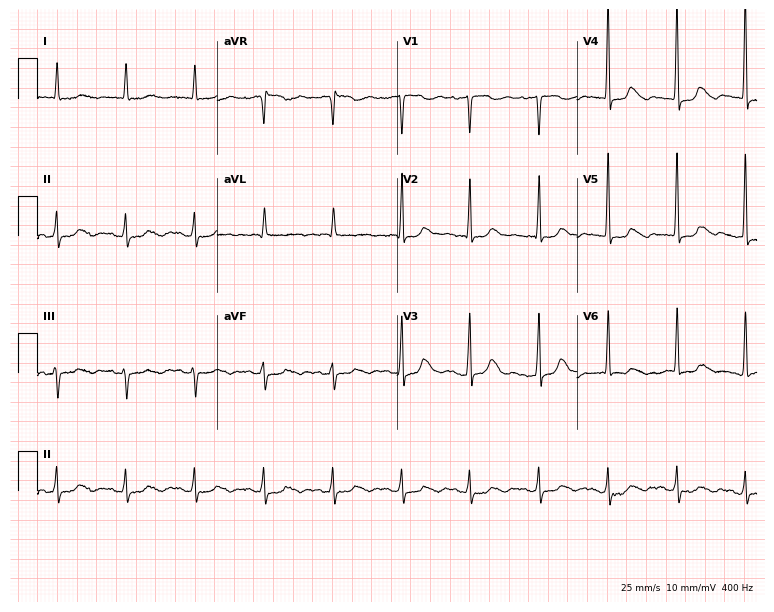
12-lead ECG from a 78-year-old female patient. Screened for six findings — first-degree AV block, right bundle branch block (RBBB), left bundle branch block (LBBB), sinus bradycardia, atrial fibrillation (AF), sinus tachycardia — none is recorded.